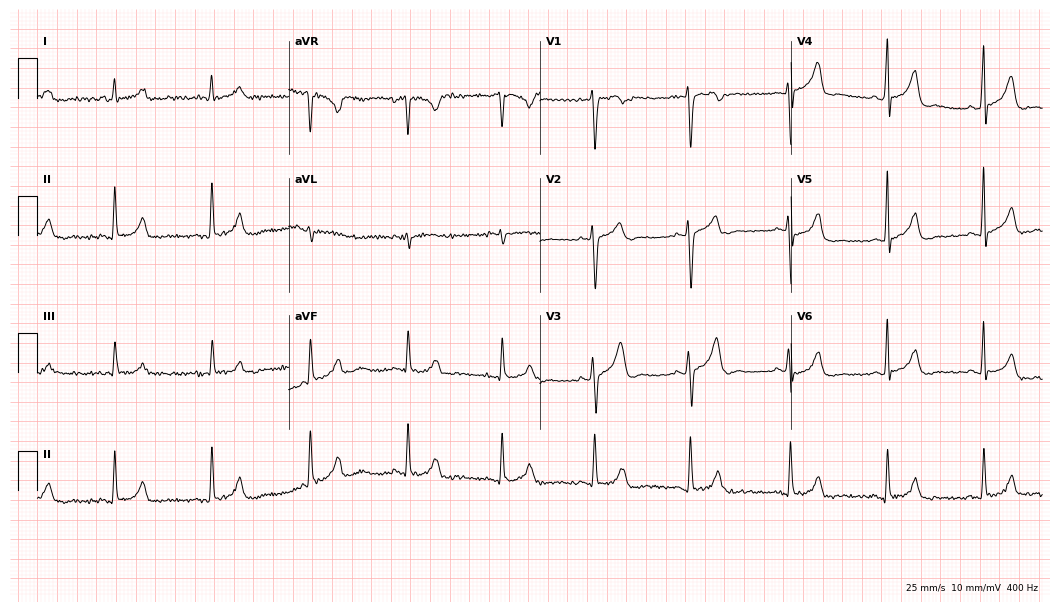
Electrocardiogram (10.2-second recording at 400 Hz), a 42-year-old male. Of the six screened findings (first-degree AV block, right bundle branch block, left bundle branch block, sinus bradycardia, atrial fibrillation, sinus tachycardia), none is recorded. Other findings, if any, are not listed.